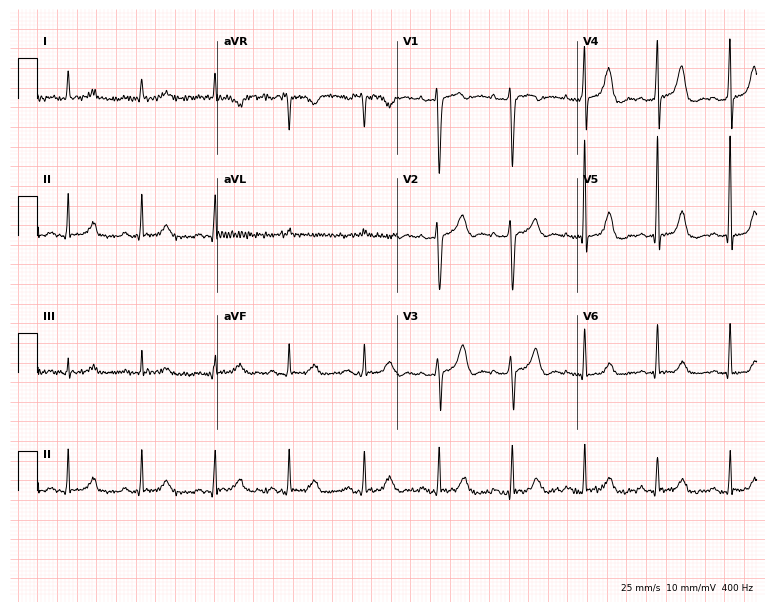
Standard 12-lead ECG recorded from a 47-year-old female patient. None of these six findings is recorded: first-degree AV block, right bundle branch block, left bundle branch block, sinus bradycardia, atrial fibrillation, sinus tachycardia.